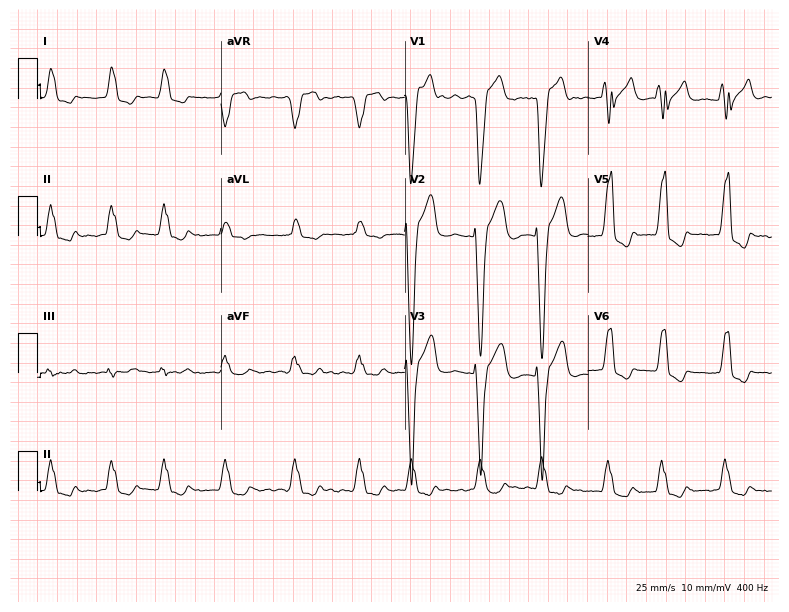
Standard 12-lead ECG recorded from a man, 78 years old (7.5-second recording at 400 Hz). The tracing shows left bundle branch block (LBBB), atrial fibrillation (AF).